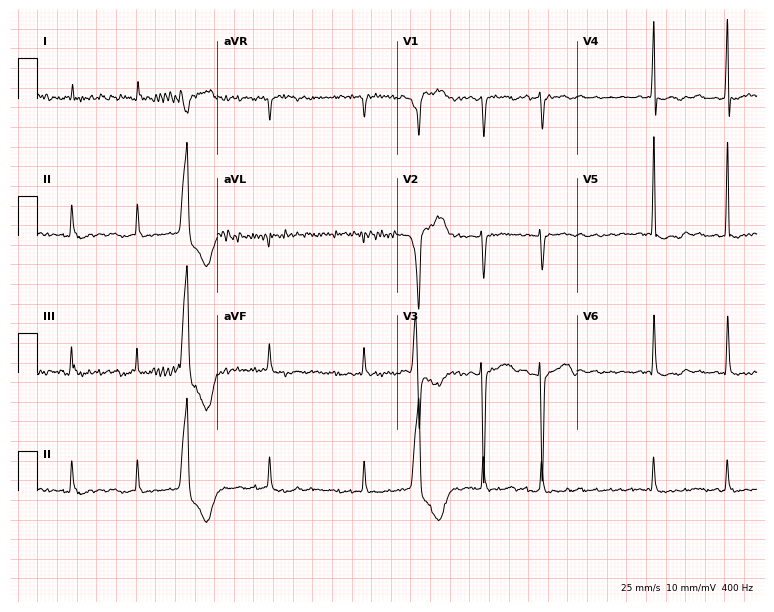
Resting 12-lead electrocardiogram. Patient: an 85-year-old female. The tracing shows atrial fibrillation.